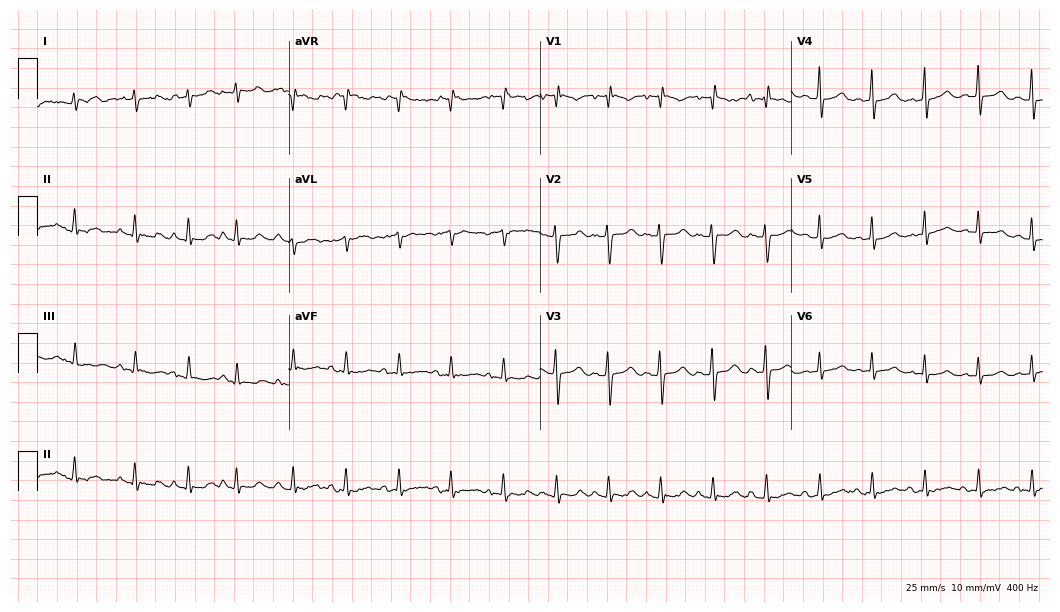
12-lead ECG from a female patient, 77 years old. No first-degree AV block, right bundle branch block (RBBB), left bundle branch block (LBBB), sinus bradycardia, atrial fibrillation (AF) or sinus tachycardia recorded for this tracing.